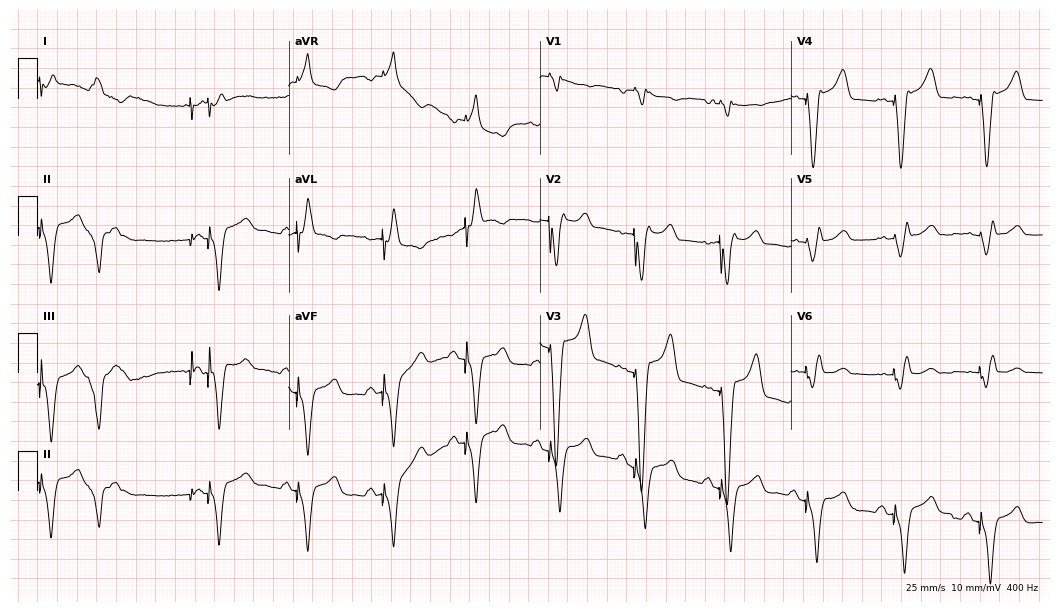
Resting 12-lead electrocardiogram. Patient: a male, 59 years old. None of these six findings is recorded: first-degree AV block, right bundle branch block (RBBB), left bundle branch block (LBBB), sinus bradycardia, atrial fibrillation (AF), sinus tachycardia.